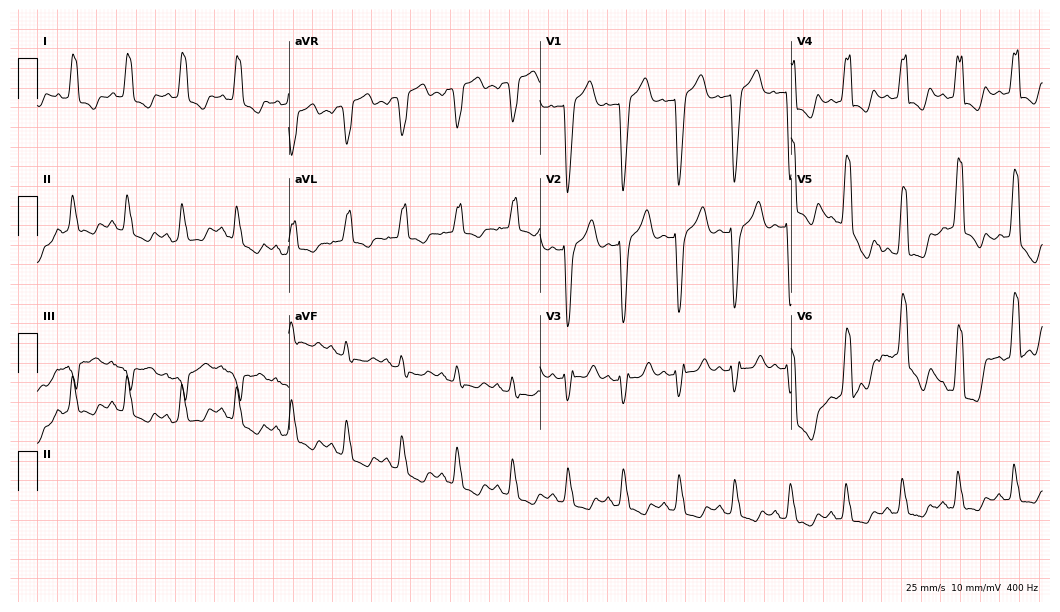
12-lead ECG (10.2-second recording at 400 Hz) from an 81-year-old female patient. Findings include left bundle branch block.